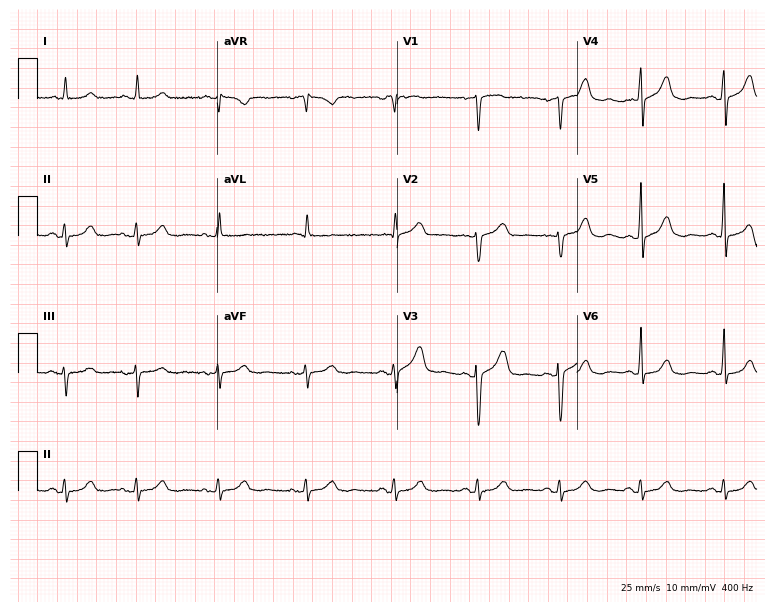
Standard 12-lead ECG recorded from a female, 84 years old (7.3-second recording at 400 Hz). Read as a normal ECG.